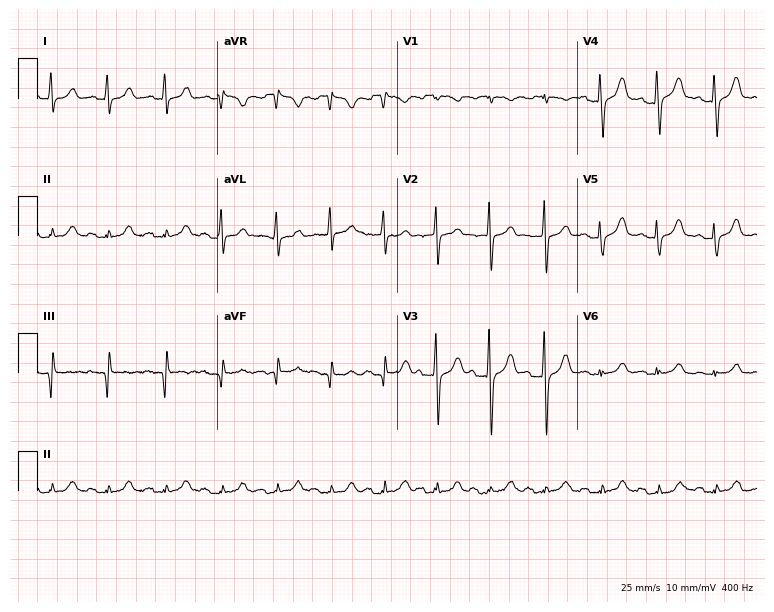
Standard 12-lead ECG recorded from a 74-year-old male patient. The tracing shows sinus tachycardia (a sinus rate of 100 beats per minute or more).